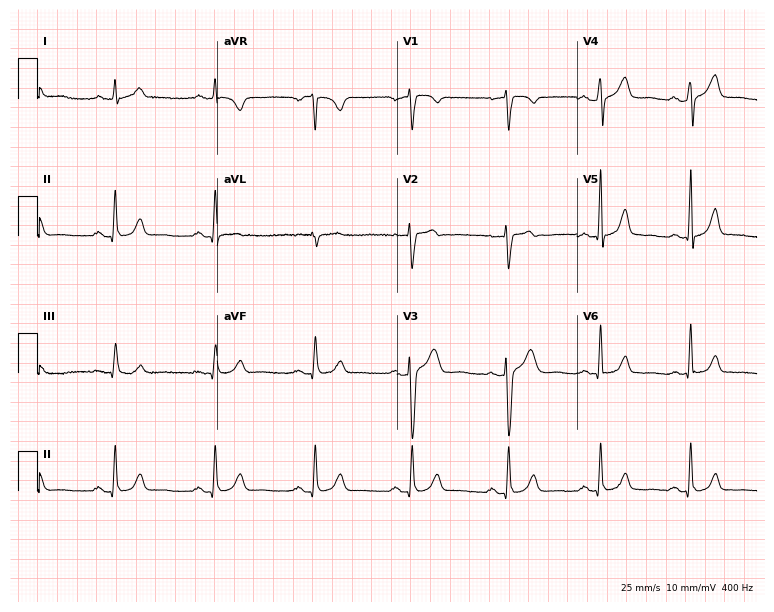
12-lead ECG from a female patient, 41 years old. Recorded interpretation: within normal limits.